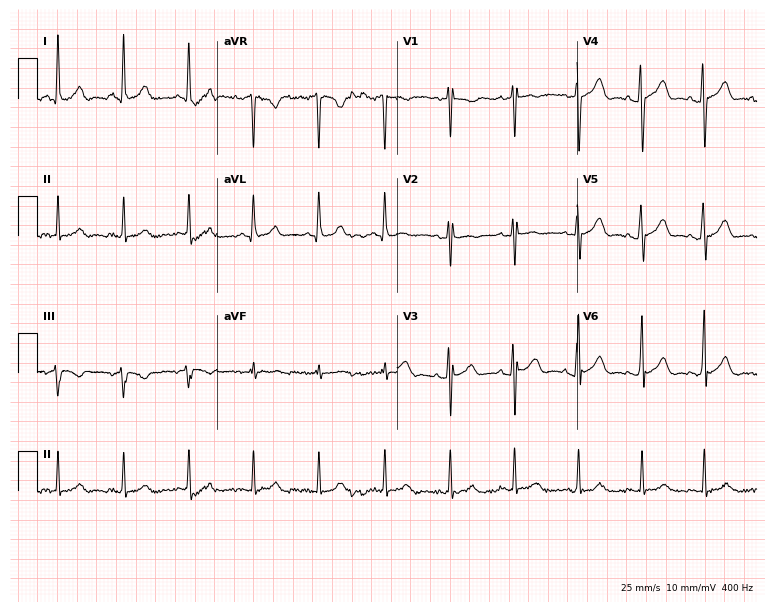
Standard 12-lead ECG recorded from a female patient, 39 years old (7.3-second recording at 400 Hz). None of these six findings is recorded: first-degree AV block, right bundle branch block (RBBB), left bundle branch block (LBBB), sinus bradycardia, atrial fibrillation (AF), sinus tachycardia. Other findings, if any, are not listed.